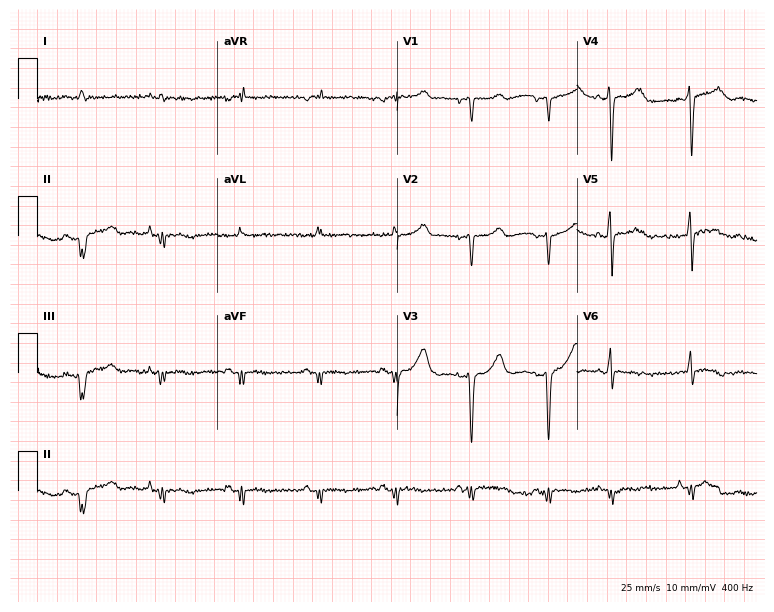
Electrocardiogram (7.3-second recording at 400 Hz), a man, 59 years old. Of the six screened findings (first-degree AV block, right bundle branch block, left bundle branch block, sinus bradycardia, atrial fibrillation, sinus tachycardia), none is recorded. Only these six findings were labelled.